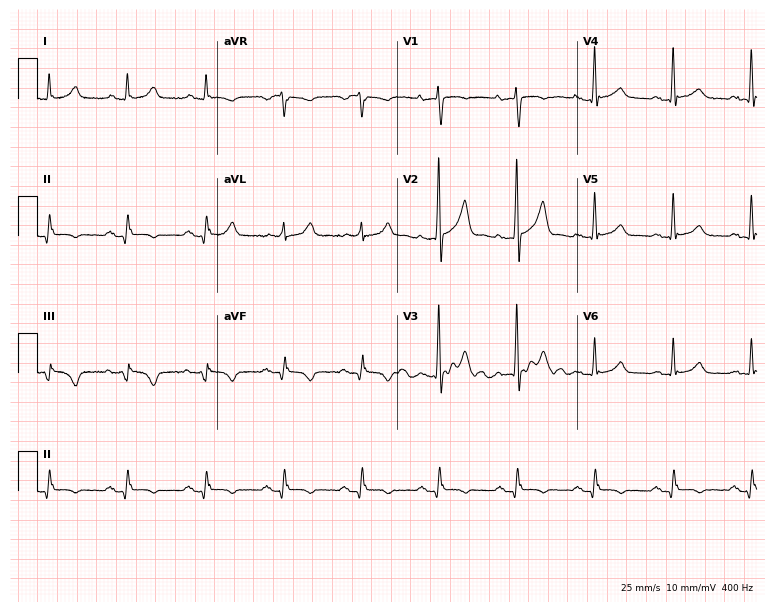
Electrocardiogram (7.3-second recording at 400 Hz), a 62-year-old male. Overall reading on record: normal ECG.